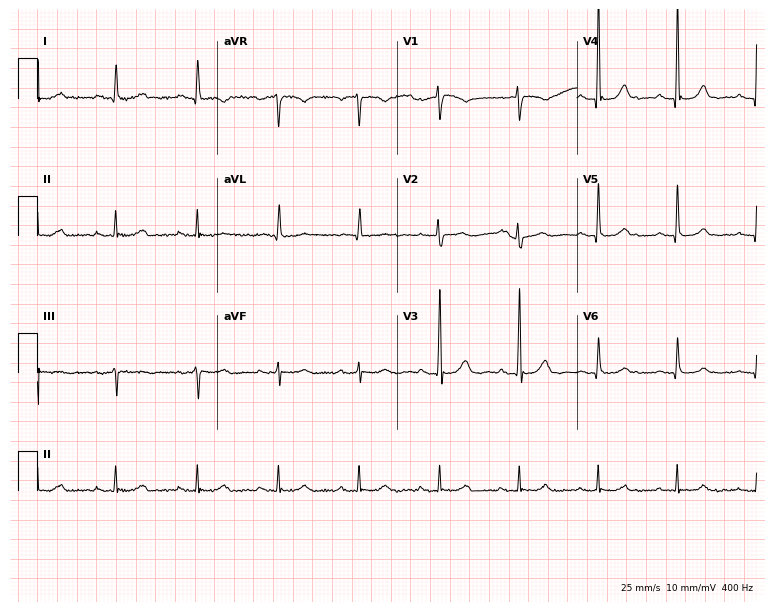
12-lead ECG from a female patient, 78 years old (7.3-second recording at 400 Hz). No first-degree AV block, right bundle branch block, left bundle branch block, sinus bradycardia, atrial fibrillation or sinus tachycardia recorded for this tracing. Only these six findings were labelled.